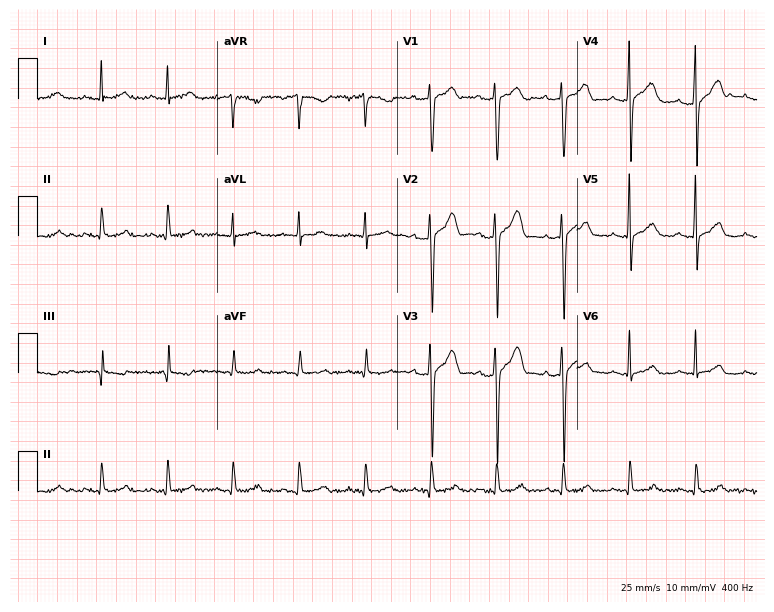
12-lead ECG from a 44-year-old man. Labelled as a normal ECG.